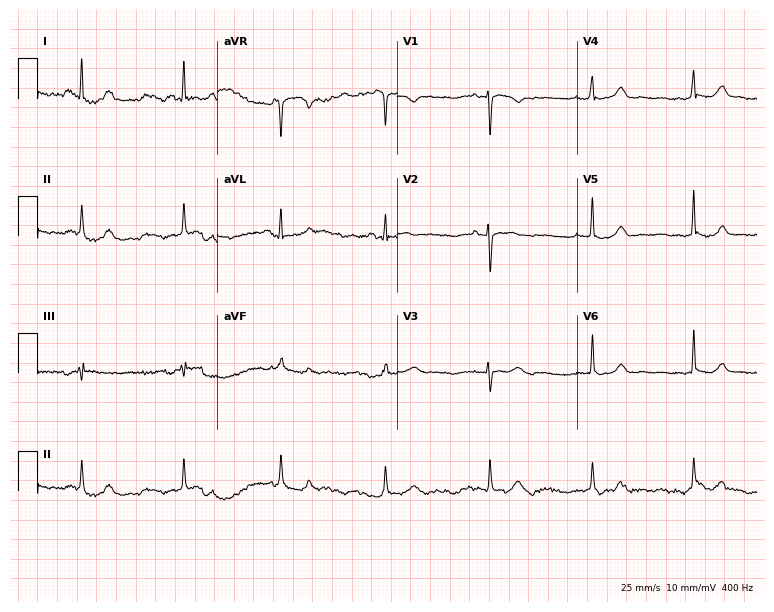
12-lead ECG from a 44-year-old female. Labelled as a normal ECG.